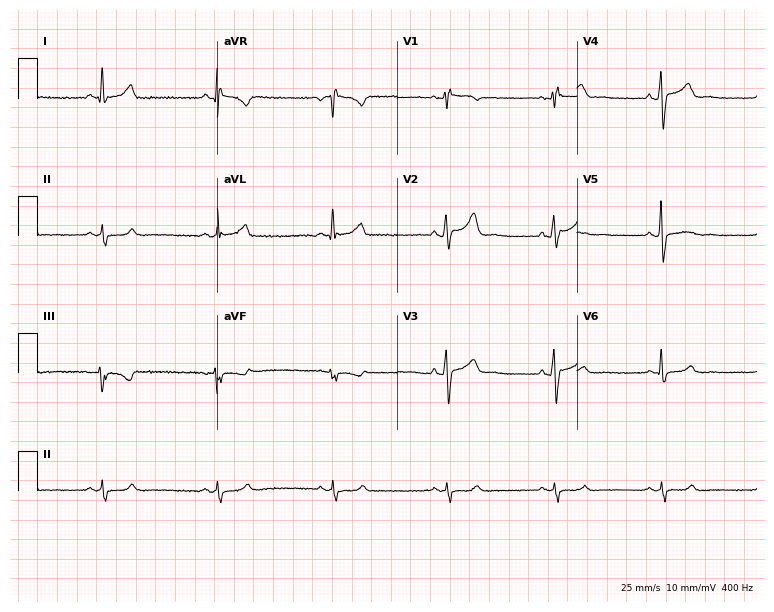
ECG (7.3-second recording at 400 Hz) — a man, 44 years old. Labelled as a normal ECG.